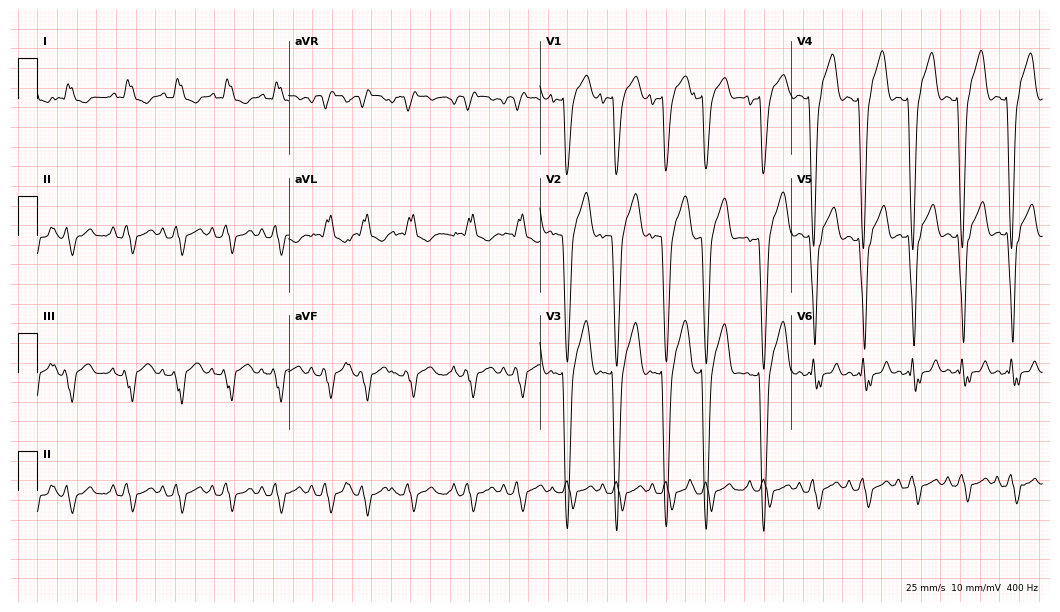
12-lead ECG (10.2-second recording at 400 Hz) from a man, 63 years old. Screened for six findings — first-degree AV block, right bundle branch block (RBBB), left bundle branch block (LBBB), sinus bradycardia, atrial fibrillation (AF), sinus tachycardia — none is recorded. Findings outside these six are not listed.